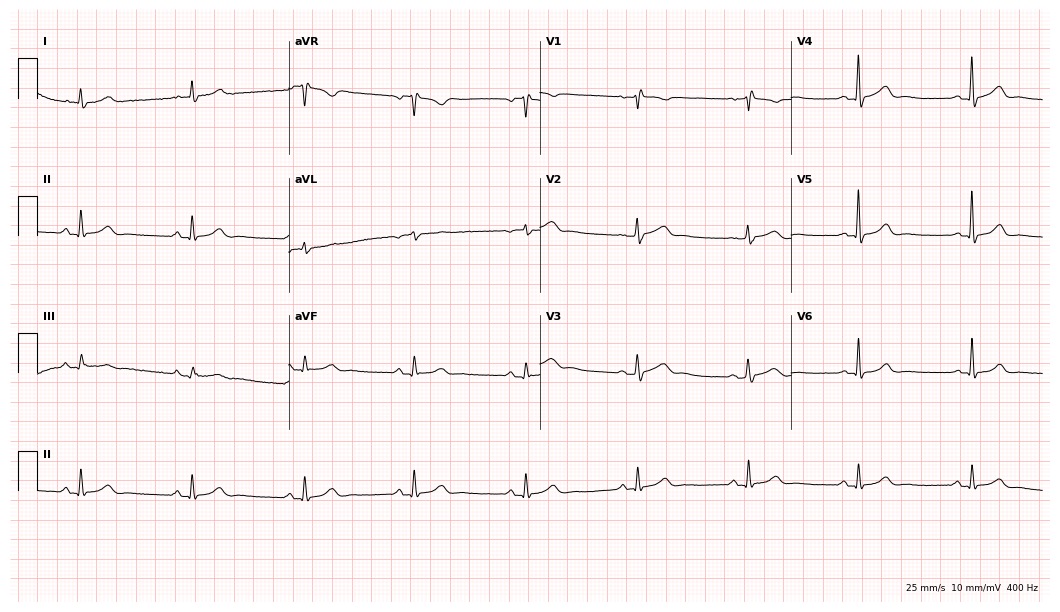
Electrocardiogram (10.2-second recording at 400 Hz), a woman, 65 years old. Overall reading on record: normal ECG.